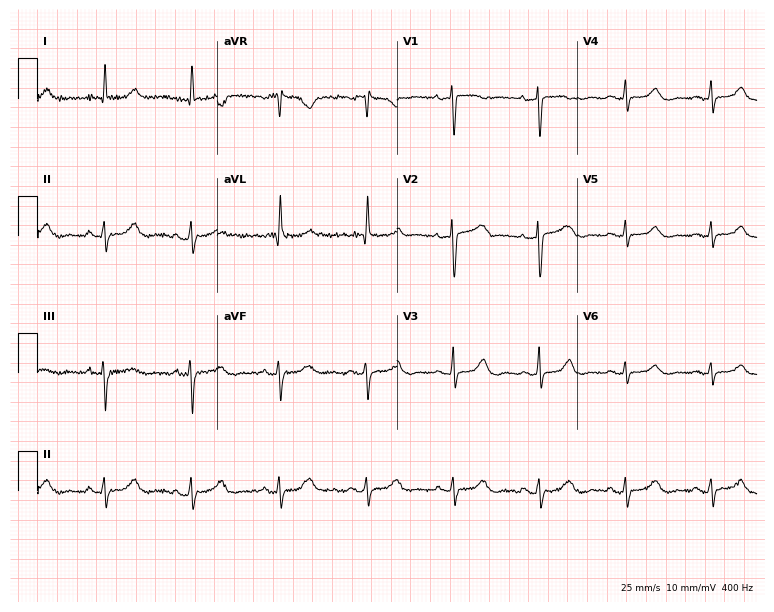
Resting 12-lead electrocardiogram (7.3-second recording at 400 Hz). Patient: a woman, 83 years old. None of these six findings is recorded: first-degree AV block, right bundle branch block (RBBB), left bundle branch block (LBBB), sinus bradycardia, atrial fibrillation (AF), sinus tachycardia.